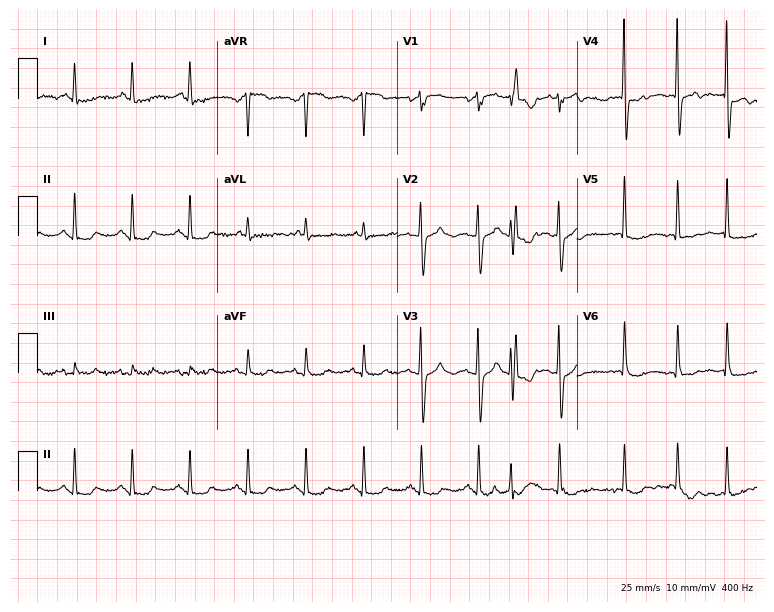
ECG (7.3-second recording at 400 Hz) — a 63-year-old female. Findings include sinus tachycardia (a sinus rate of 100 beats per minute or more).